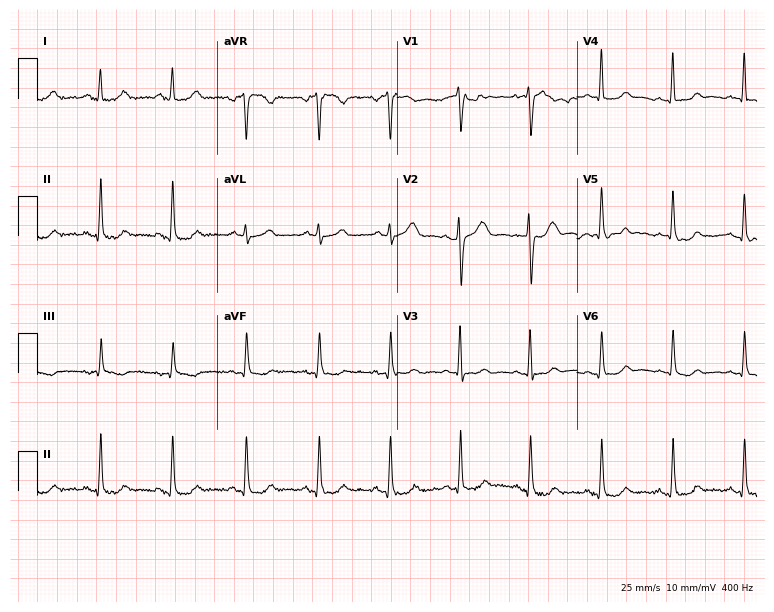
ECG (7.3-second recording at 400 Hz) — a female patient, 46 years old. Labelled as a normal ECG.